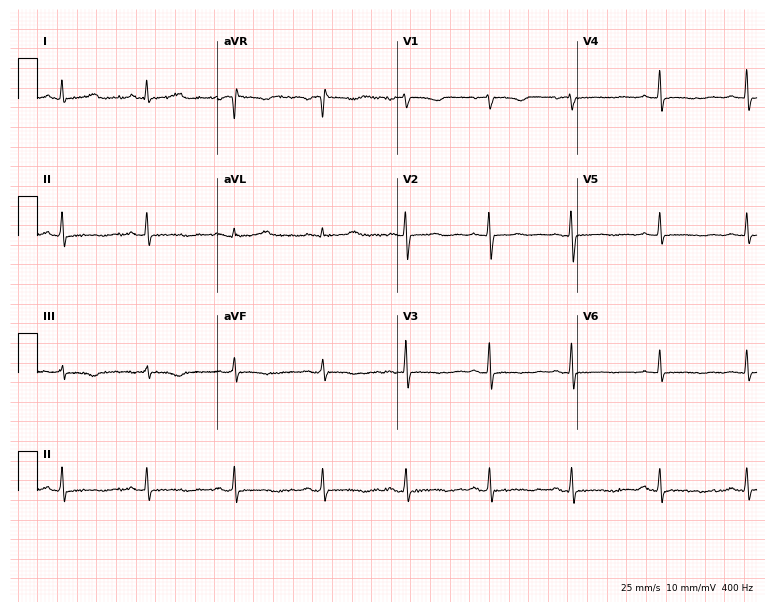
12-lead ECG from a 41-year-old female patient. No first-degree AV block, right bundle branch block, left bundle branch block, sinus bradycardia, atrial fibrillation or sinus tachycardia recorded for this tracing.